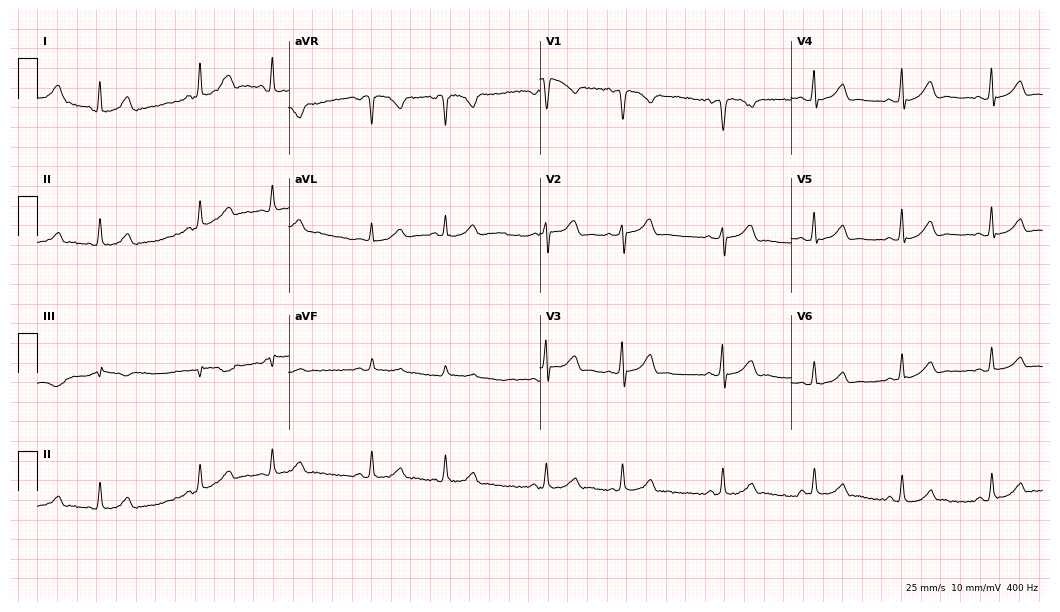
Electrocardiogram, a female patient, 57 years old. Of the six screened findings (first-degree AV block, right bundle branch block (RBBB), left bundle branch block (LBBB), sinus bradycardia, atrial fibrillation (AF), sinus tachycardia), none is recorded.